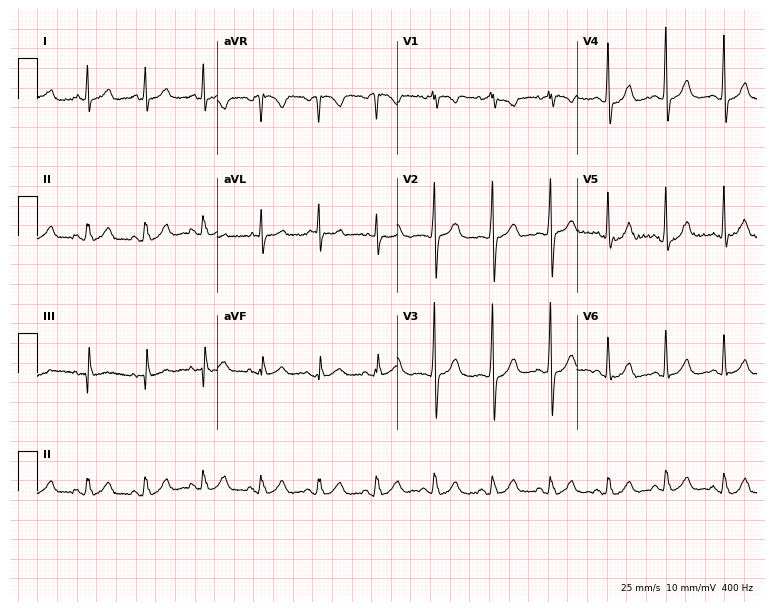
Electrocardiogram (7.3-second recording at 400 Hz), a woman, 79 years old. Interpretation includes sinus tachycardia (a sinus rate of 100 beats per minute or more).